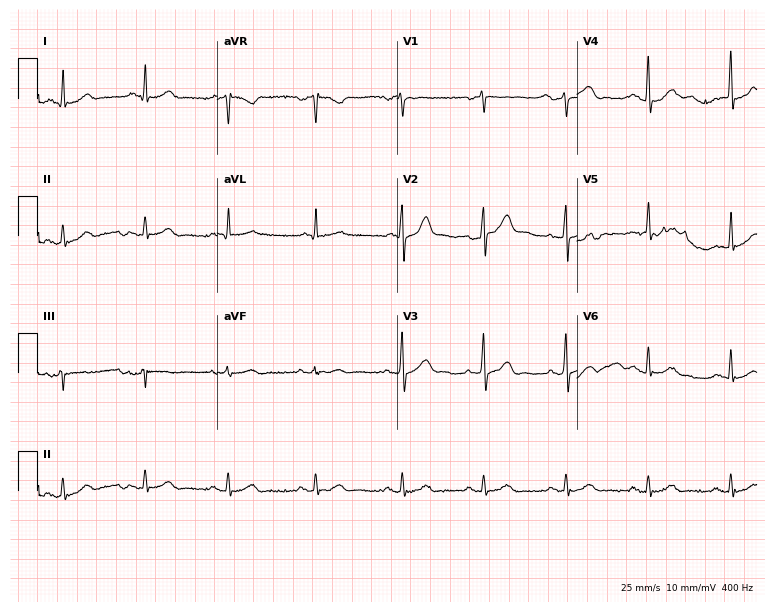
Resting 12-lead electrocardiogram. Patient: a 68-year-old male. Read as a normal ECG.